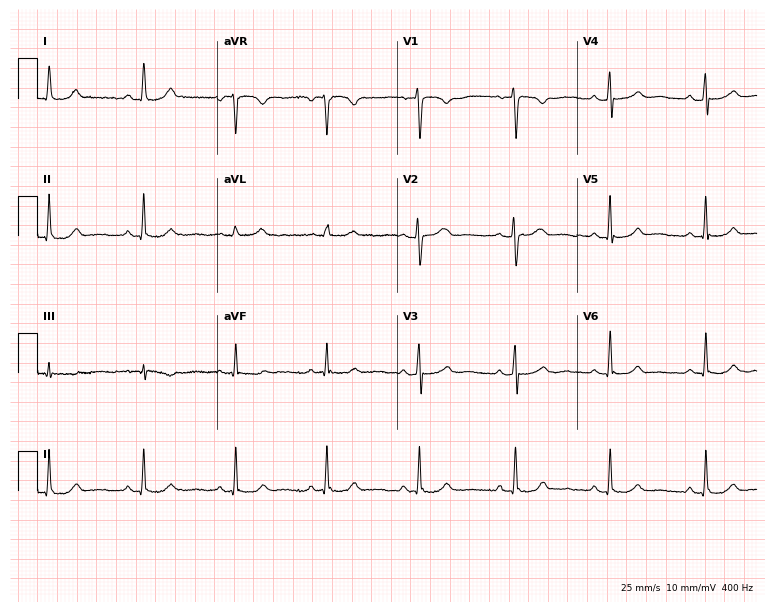
ECG — a 57-year-old woman. Screened for six findings — first-degree AV block, right bundle branch block (RBBB), left bundle branch block (LBBB), sinus bradycardia, atrial fibrillation (AF), sinus tachycardia — none is recorded. Other findings, if any, are not listed.